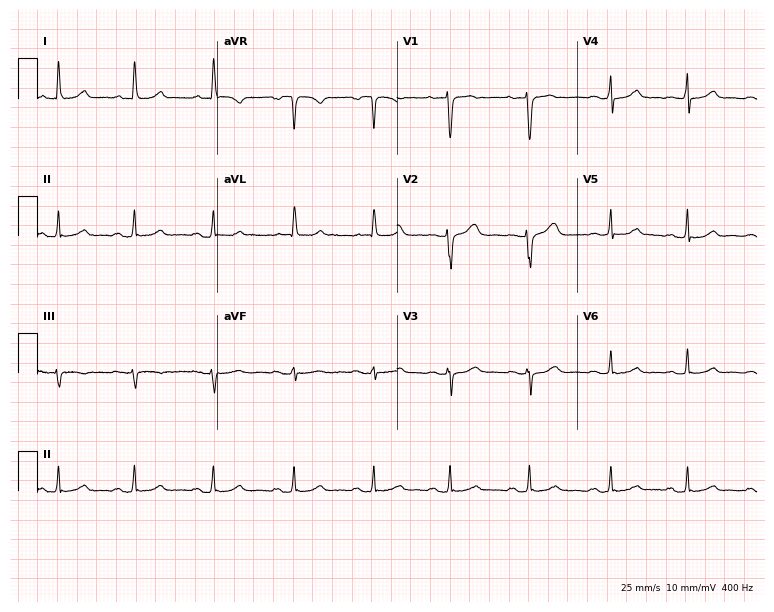
12-lead ECG from a female patient, 76 years old. Recorded interpretation: within normal limits.